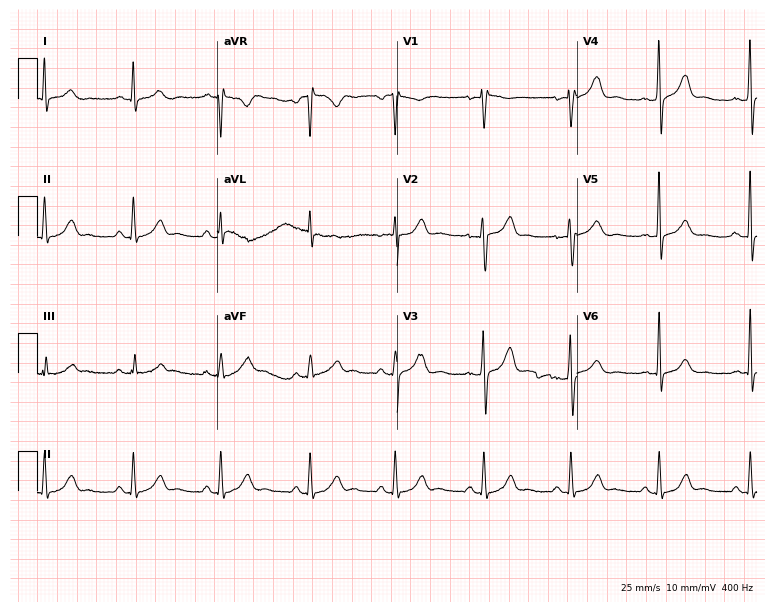
Standard 12-lead ECG recorded from a female, 38 years old (7.3-second recording at 400 Hz). None of these six findings is recorded: first-degree AV block, right bundle branch block, left bundle branch block, sinus bradycardia, atrial fibrillation, sinus tachycardia.